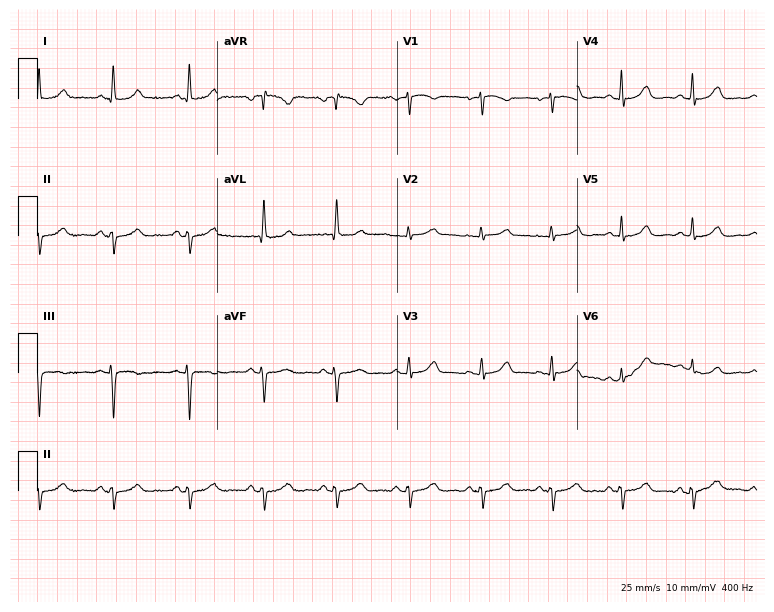
12-lead ECG (7.3-second recording at 400 Hz) from a female, 65 years old. Screened for six findings — first-degree AV block, right bundle branch block, left bundle branch block, sinus bradycardia, atrial fibrillation, sinus tachycardia — none is recorded. Only these six findings were labelled.